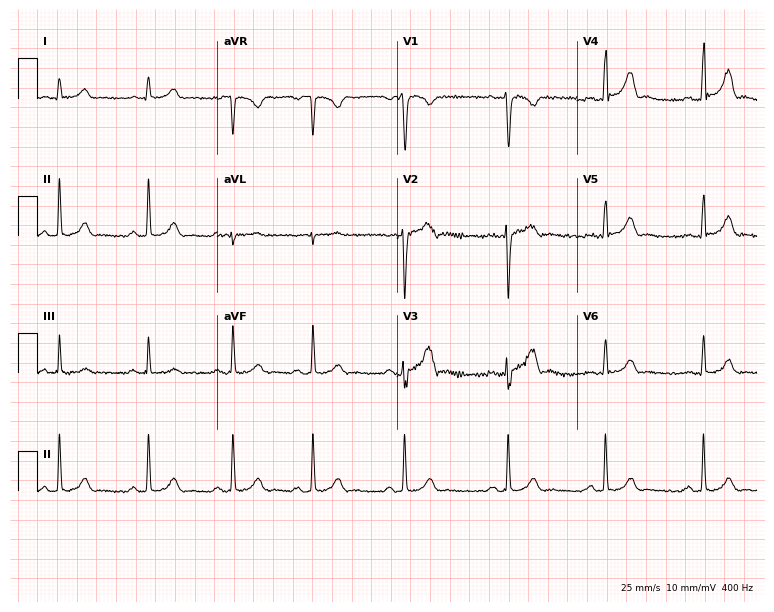
12-lead ECG (7.3-second recording at 400 Hz) from a woman, 30 years old. Labelled as a normal ECG.